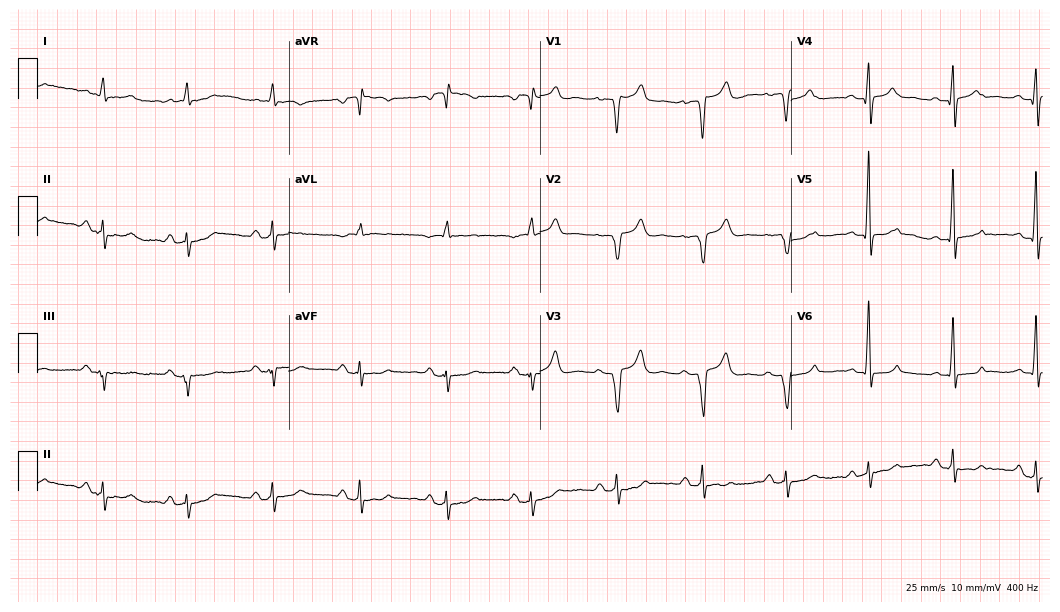
Standard 12-lead ECG recorded from an 82-year-old man (10.2-second recording at 400 Hz). None of these six findings is recorded: first-degree AV block, right bundle branch block, left bundle branch block, sinus bradycardia, atrial fibrillation, sinus tachycardia. Only these six findings were labelled.